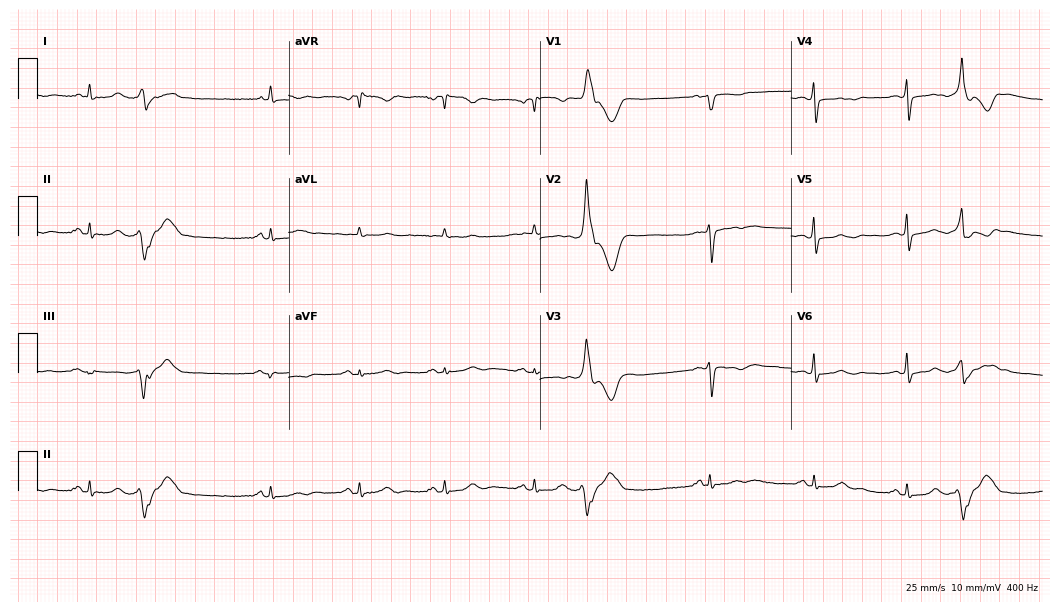
12-lead ECG from a 46-year-old female patient. No first-degree AV block, right bundle branch block, left bundle branch block, sinus bradycardia, atrial fibrillation or sinus tachycardia recorded for this tracing.